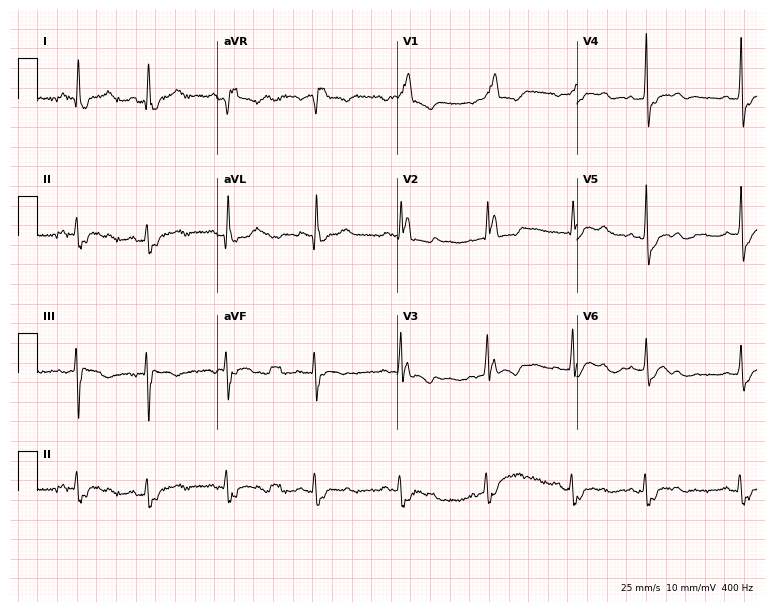
Electrocardiogram, a 60-year-old female patient. Interpretation includes right bundle branch block (RBBB).